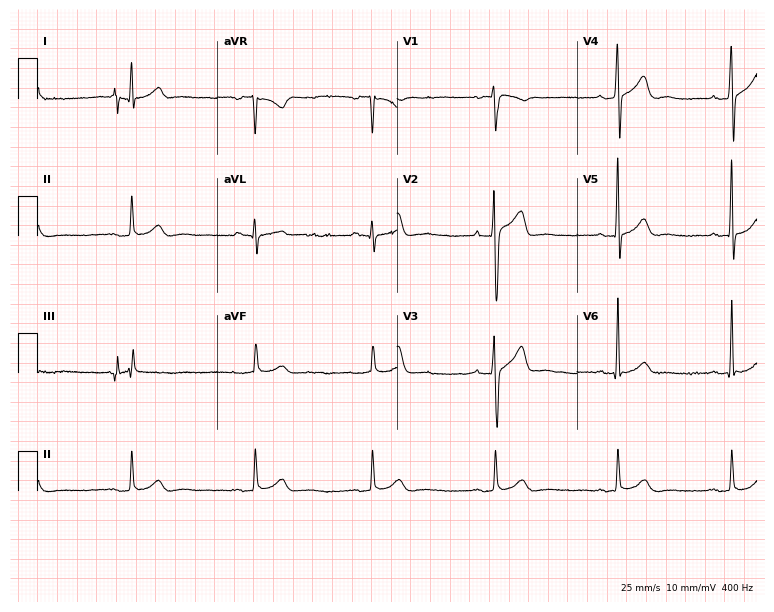
ECG (7.3-second recording at 400 Hz) — a 34-year-old male patient. Labelled as a normal ECG.